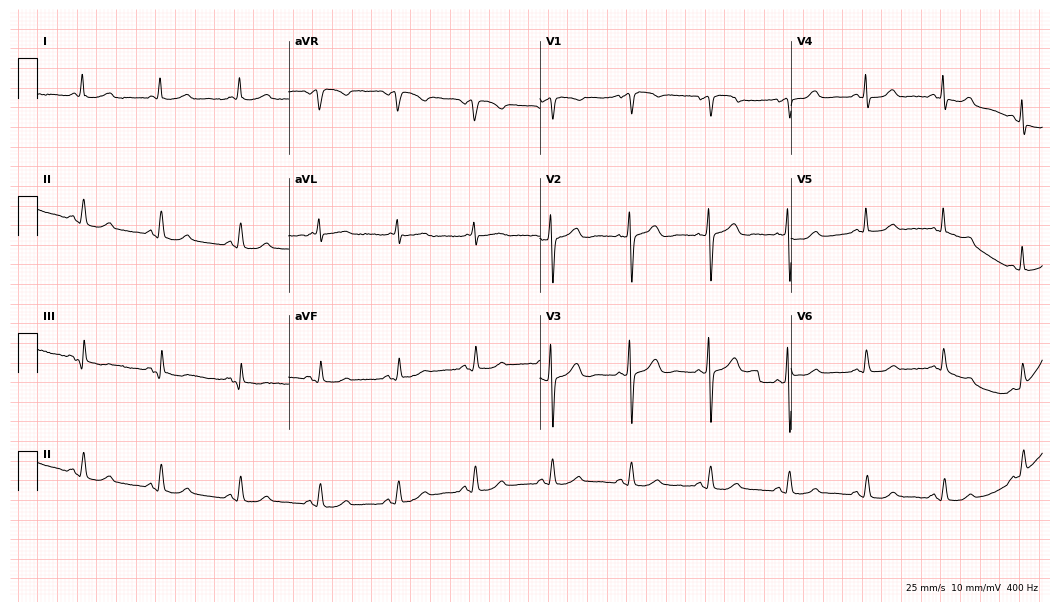
ECG (10.2-second recording at 400 Hz) — a 79-year-old female patient. Labelled as a normal ECG.